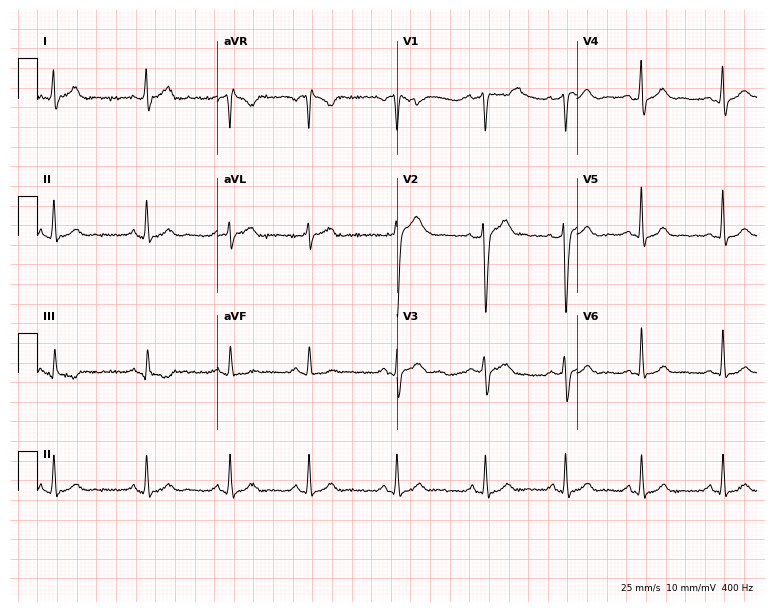
Resting 12-lead electrocardiogram (7.3-second recording at 400 Hz). Patient: a man, 19 years old. Read as a normal ECG.